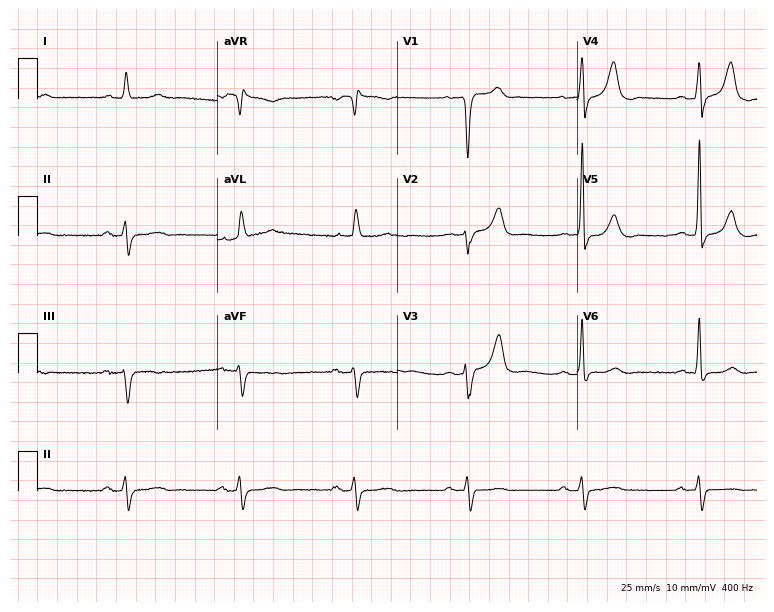
12-lead ECG from an 81-year-old man. No first-degree AV block, right bundle branch block, left bundle branch block, sinus bradycardia, atrial fibrillation or sinus tachycardia recorded for this tracing. Only these six findings were labelled.